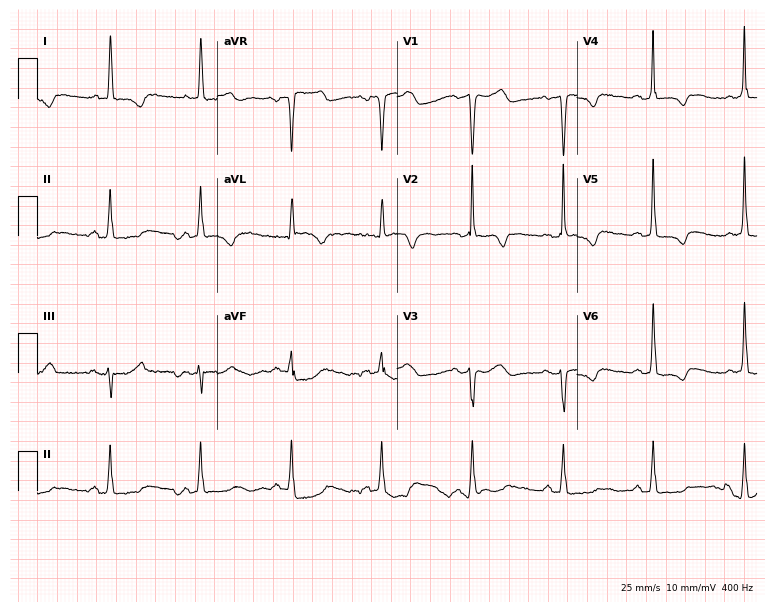
Standard 12-lead ECG recorded from a woman, 80 years old. None of these six findings is recorded: first-degree AV block, right bundle branch block (RBBB), left bundle branch block (LBBB), sinus bradycardia, atrial fibrillation (AF), sinus tachycardia.